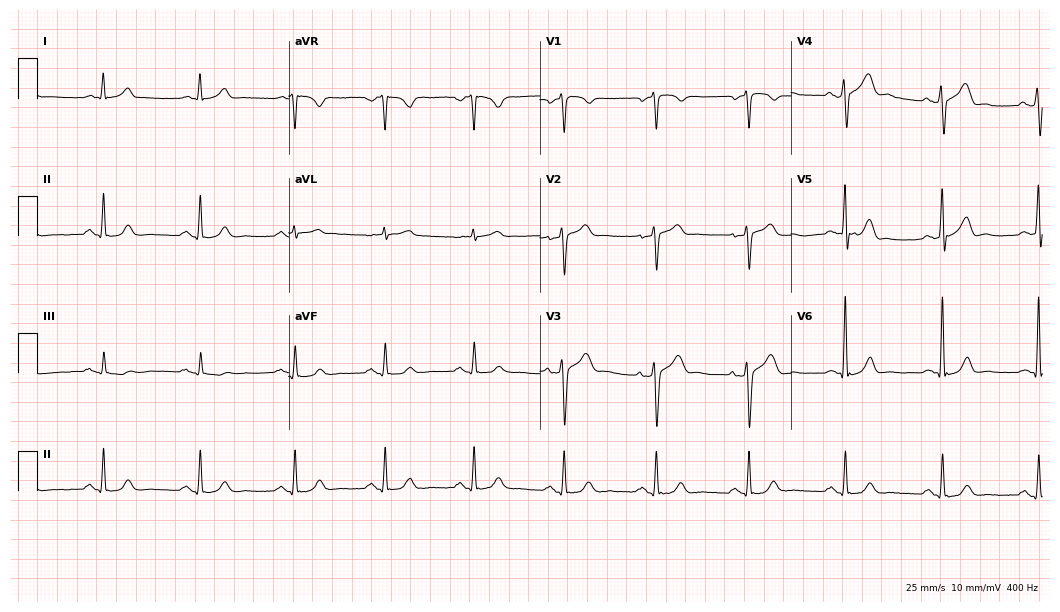
12-lead ECG (10.2-second recording at 400 Hz) from a man, 53 years old. Labelled as a normal ECG.